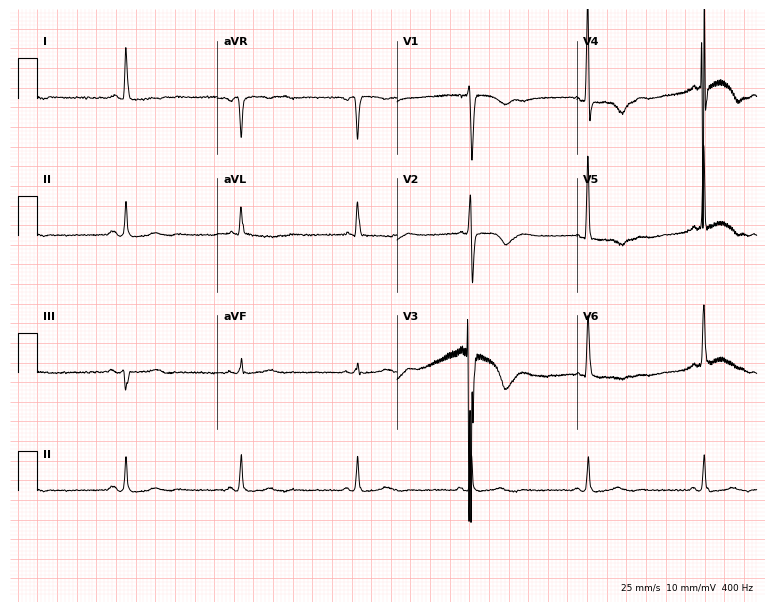
ECG — a man, 66 years old. Screened for six findings — first-degree AV block, right bundle branch block (RBBB), left bundle branch block (LBBB), sinus bradycardia, atrial fibrillation (AF), sinus tachycardia — none is recorded. Findings outside these six are not listed.